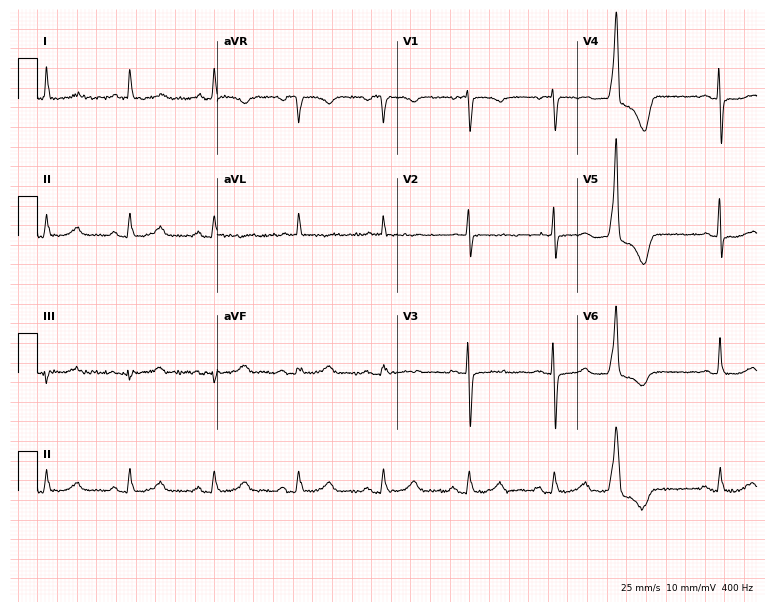
12-lead ECG from a 73-year-old female. No first-degree AV block, right bundle branch block (RBBB), left bundle branch block (LBBB), sinus bradycardia, atrial fibrillation (AF) or sinus tachycardia recorded for this tracing. Other findings, if any, are not listed.